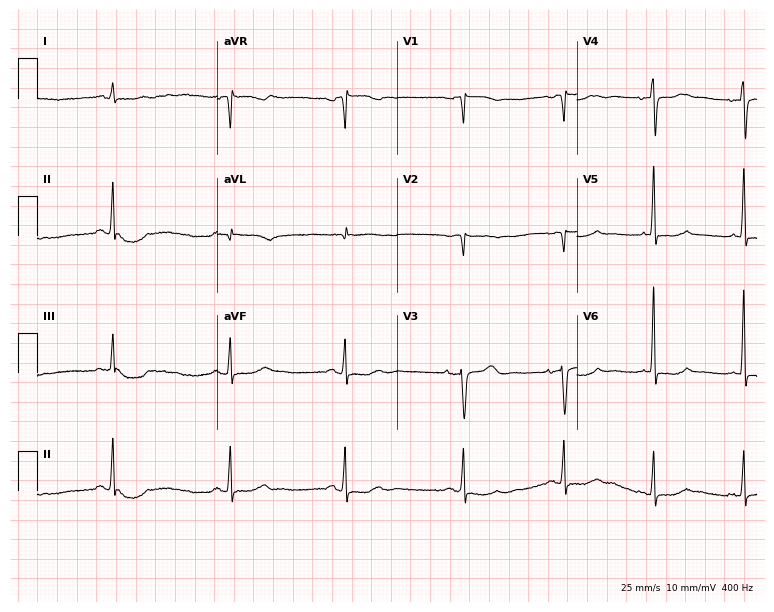
Electrocardiogram (7.3-second recording at 400 Hz), a 79-year-old female patient. Of the six screened findings (first-degree AV block, right bundle branch block, left bundle branch block, sinus bradycardia, atrial fibrillation, sinus tachycardia), none is recorded.